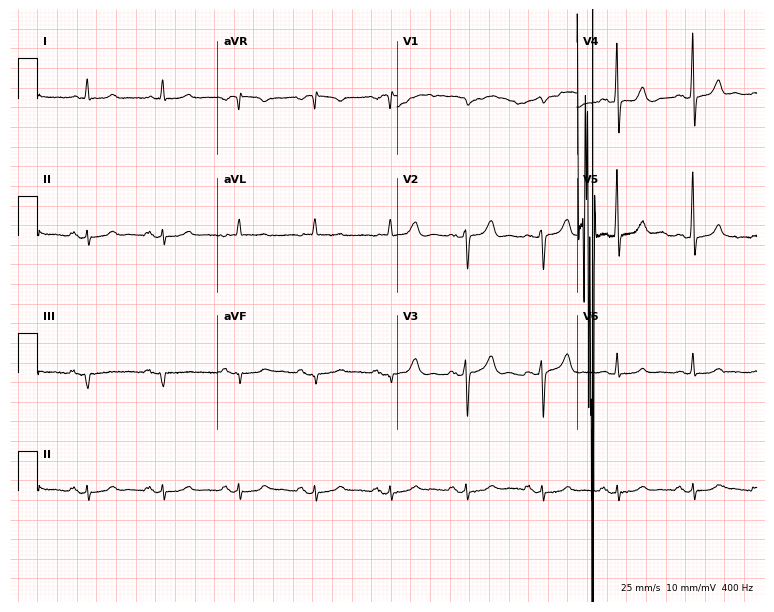
Resting 12-lead electrocardiogram. Patient: an 82-year-old female. Read as a normal ECG.